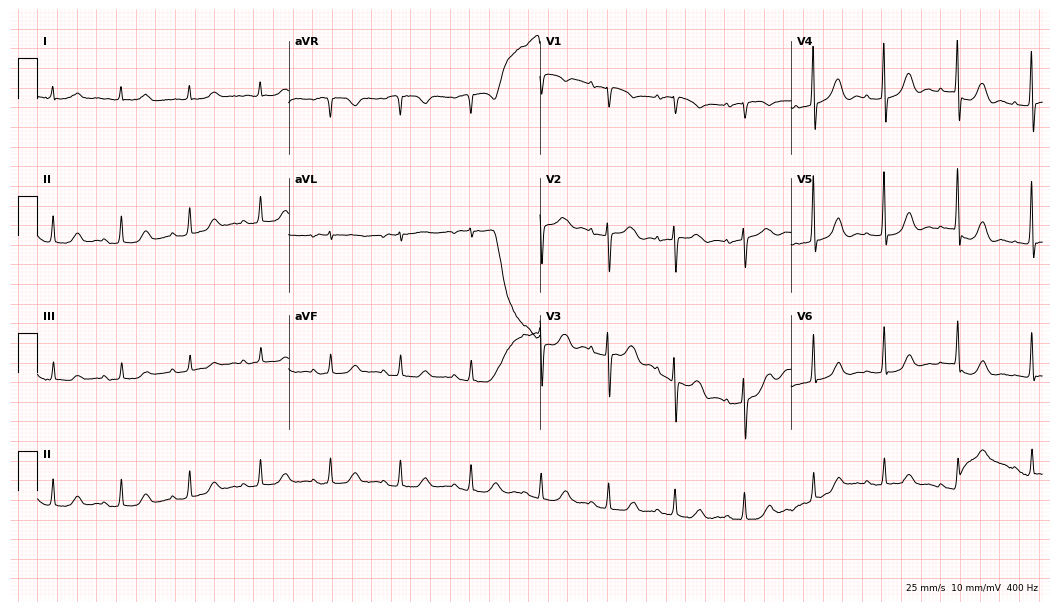
ECG (10.2-second recording at 400 Hz) — a female patient, 86 years old. Labelled as a normal ECG.